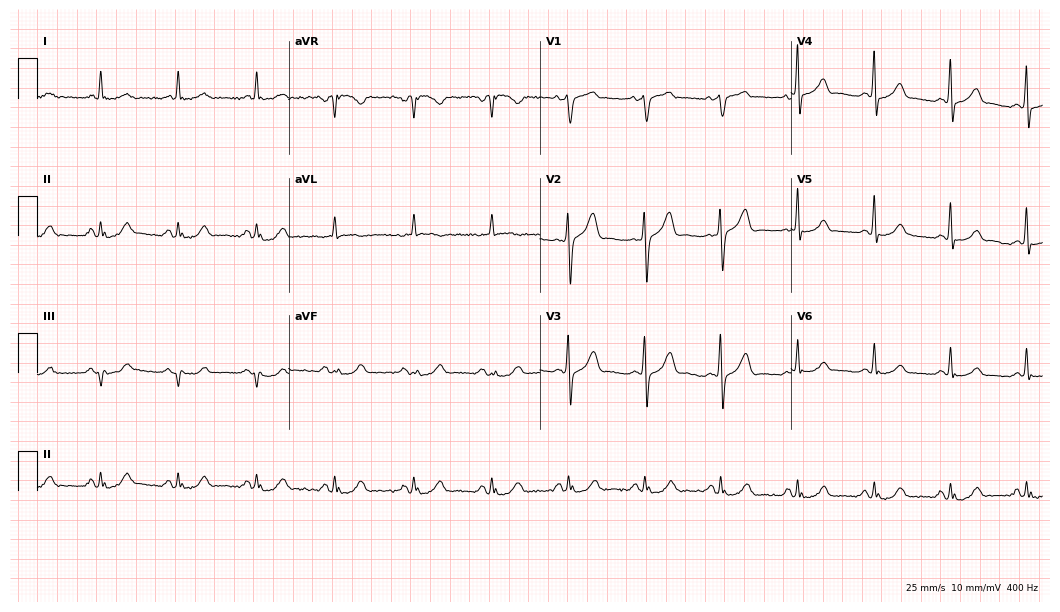
12-lead ECG (10.2-second recording at 400 Hz) from a 68-year-old male. Labelled as a normal ECG.